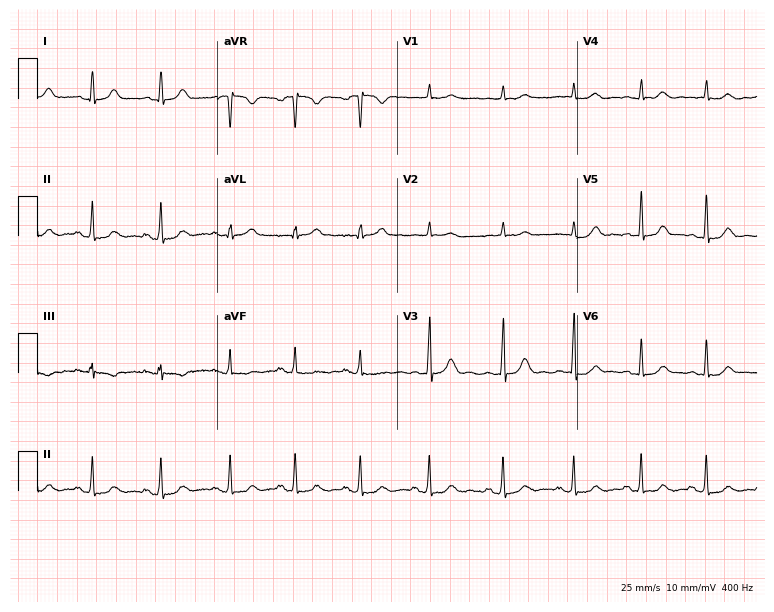
12-lead ECG from a woman, 17 years old (7.3-second recording at 400 Hz). No first-degree AV block, right bundle branch block, left bundle branch block, sinus bradycardia, atrial fibrillation or sinus tachycardia recorded for this tracing. Only these six findings were labelled.